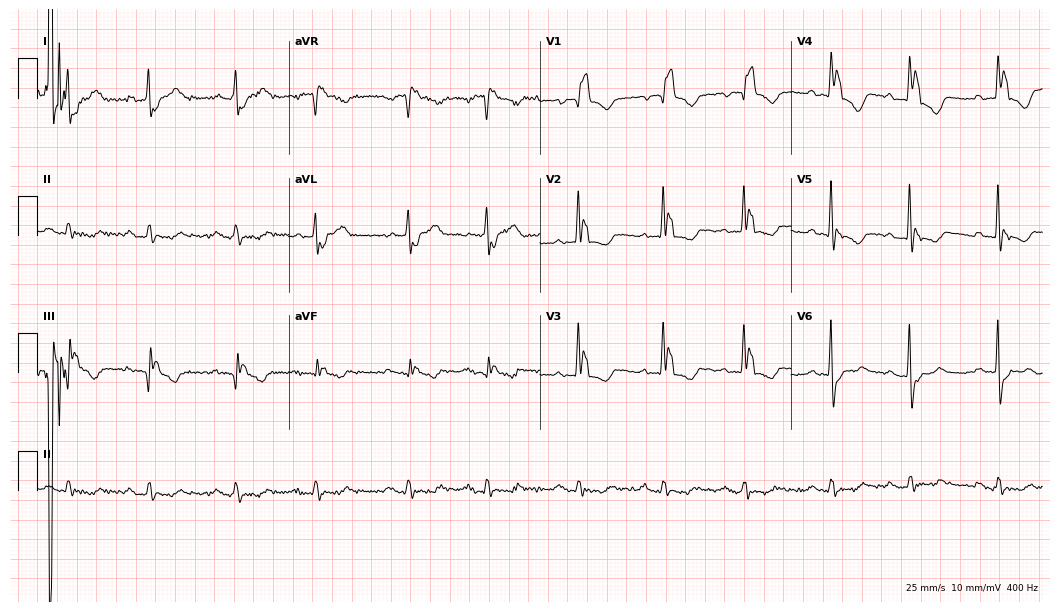
ECG (10.2-second recording at 400 Hz) — a male, 79 years old. Screened for six findings — first-degree AV block, right bundle branch block, left bundle branch block, sinus bradycardia, atrial fibrillation, sinus tachycardia — none is recorded. Only these six findings were labelled.